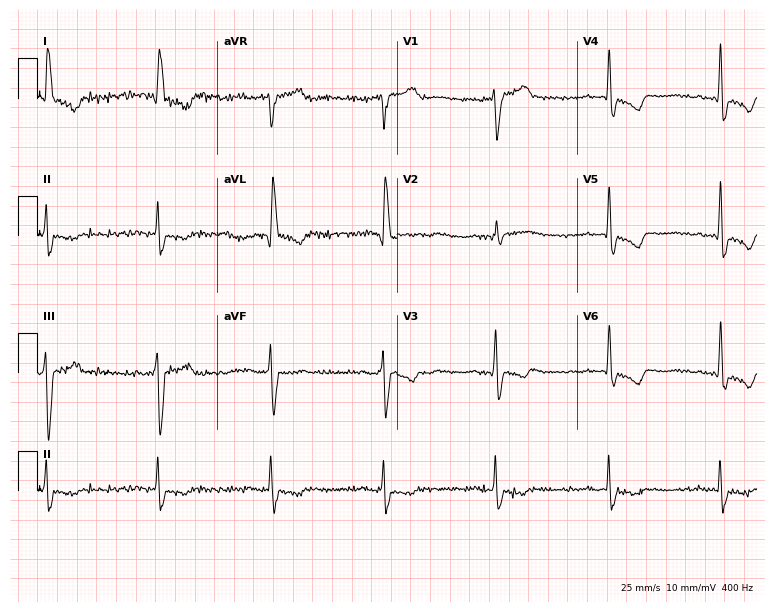
Standard 12-lead ECG recorded from a woman, 70 years old. None of these six findings is recorded: first-degree AV block, right bundle branch block (RBBB), left bundle branch block (LBBB), sinus bradycardia, atrial fibrillation (AF), sinus tachycardia. Findings outside these six are not listed.